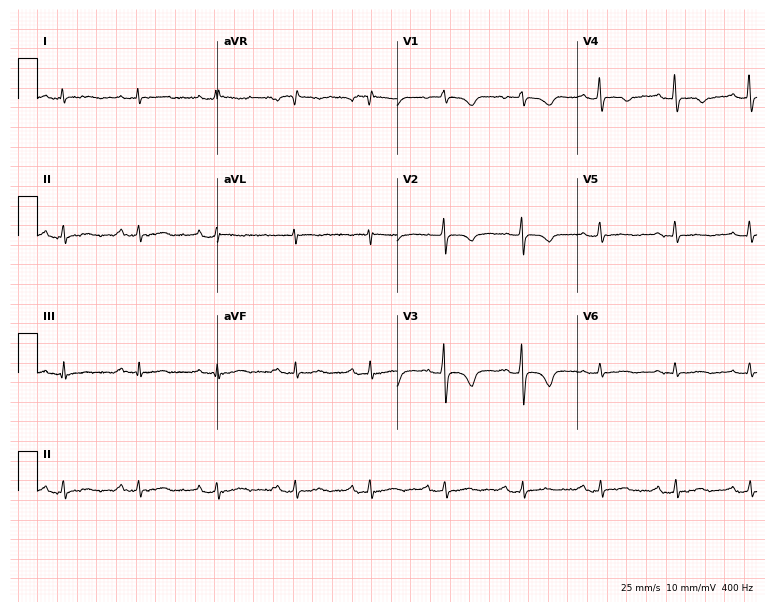
ECG — a 65-year-old female patient. Screened for six findings — first-degree AV block, right bundle branch block (RBBB), left bundle branch block (LBBB), sinus bradycardia, atrial fibrillation (AF), sinus tachycardia — none is recorded. Findings outside these six are not listed.